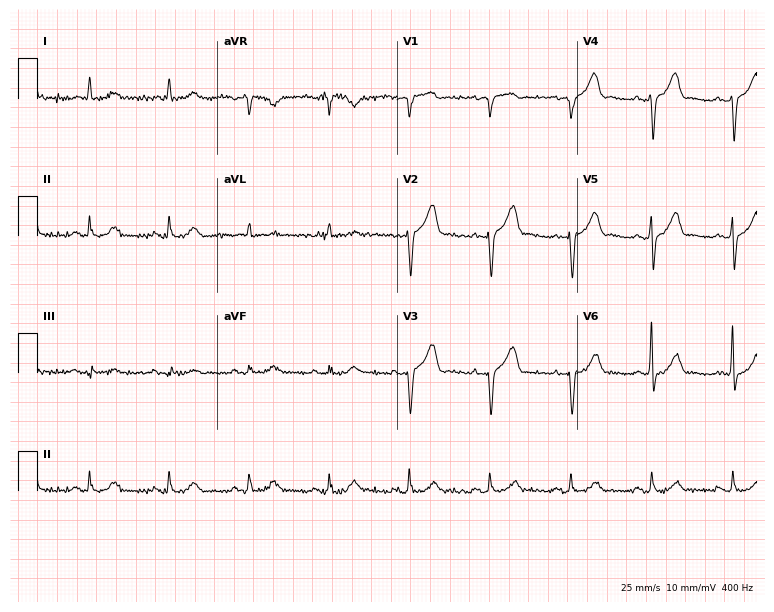
12-lead ECG from an 83-year-old male (7.3-second recording at 400 Hz). No first-degree AV block, right bundle branch block (RBBB), left bundle branch block (LBBB), sinus bradycardia, atrial fibrillation (AF) or sinus tachycardia recorded for this tracing. Only these six findings were labelled.